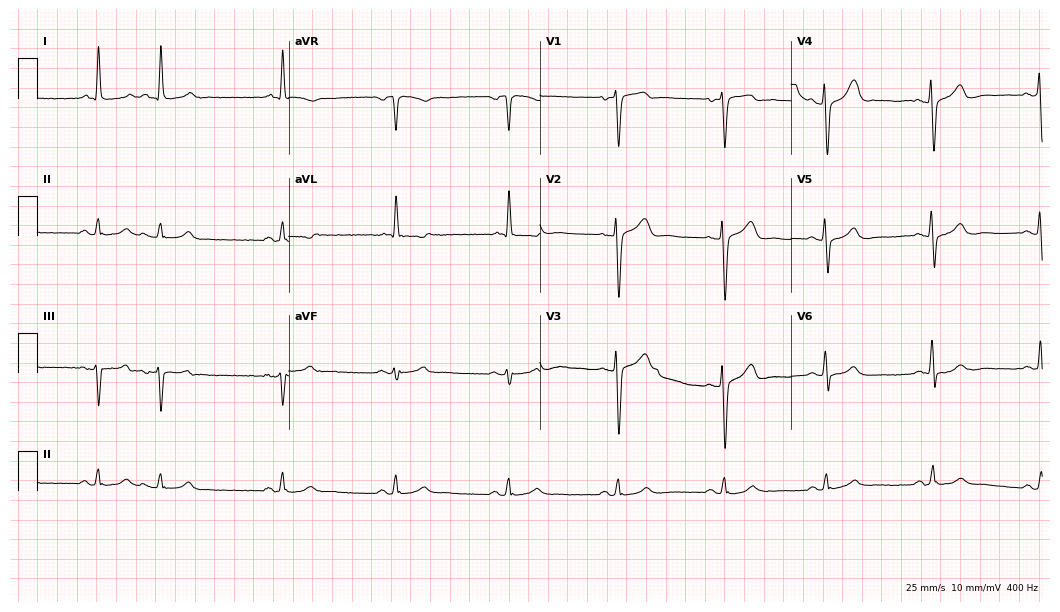
Resting 12-lead electrocardiogram (10.2-second recording at 400 Hz). Patient: an 84-year-old man. Read as a normal ECG.